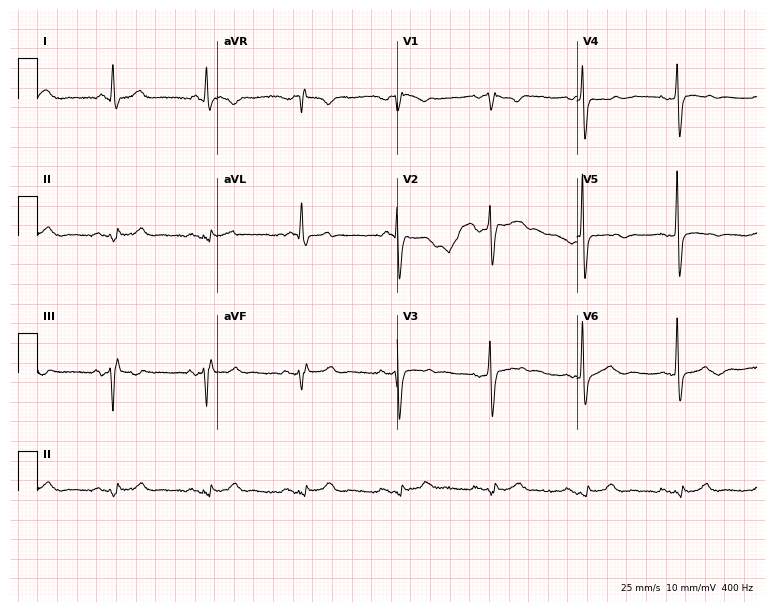
12-lead ECG from a male patient, 63 years old. Screened for six findings — first-degree AV block, right bundle branch block, left bundle branch block, sinus bradycardia, atrial fibrillation, sinus tachycardia — none is recorded.